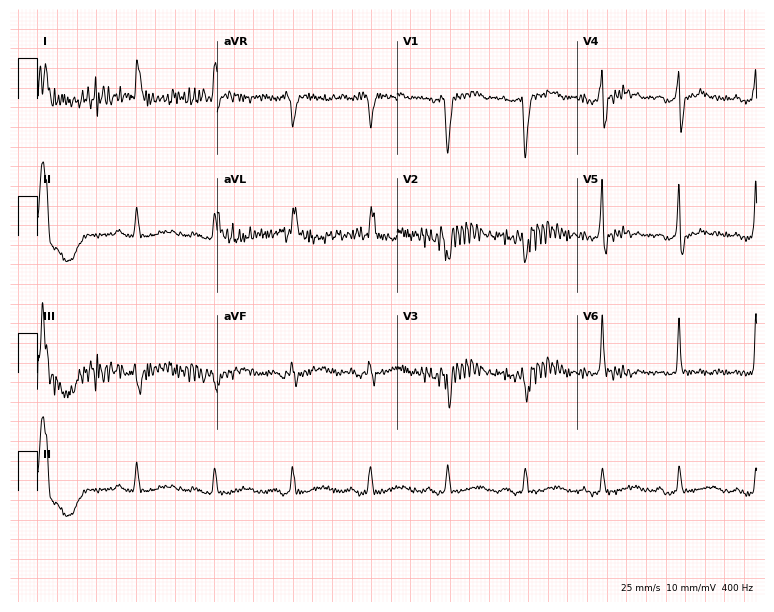
12-lead ECG from a woman, 80 years old. Screened for six findings — first-degree AV block, right bundle branch block (RBBB), left bundle branch block (LBBB), sinus bradycardia, atrial fibrillation (AF), sinus tachycardia — none is recorded.